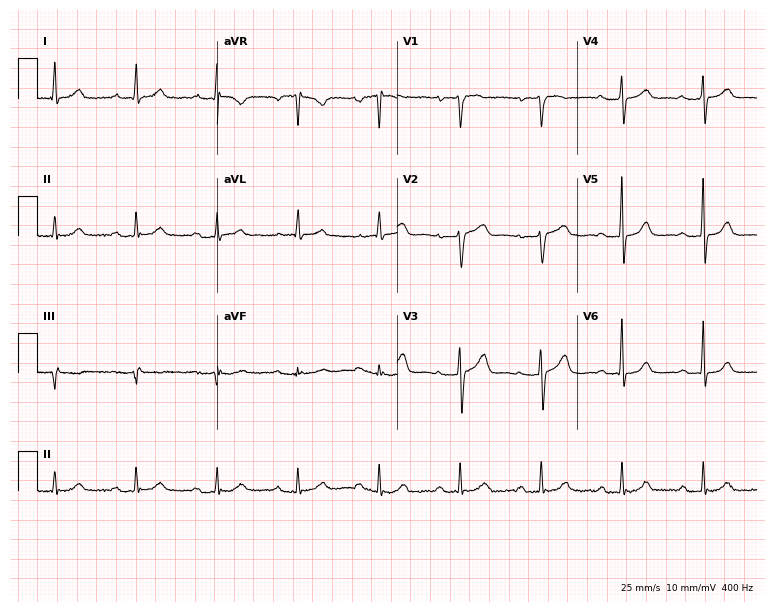
12-lead ECG from a 61-year-old female (7.3-second recording at 400 Hz). No first-degree AV block, right bundle branch block, left bundle branch block, sinus bradycardia, atrial fibrillation or sinus tachycardia recorded for this tracing. Findings outside these six are not listed.